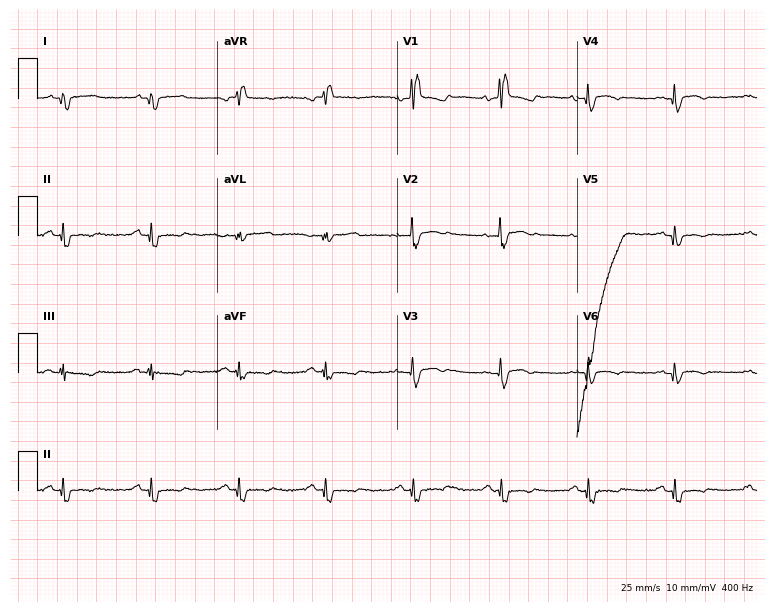
12-lead ECG from a male patient, 60 years old. Screened for six findings — first-degree AV block, right bundle branch block, left bundle branch block, sinus bradycardia, atrial fibrillation, sinus tachycardia — none is recorded. Findings outside these six are not listed.